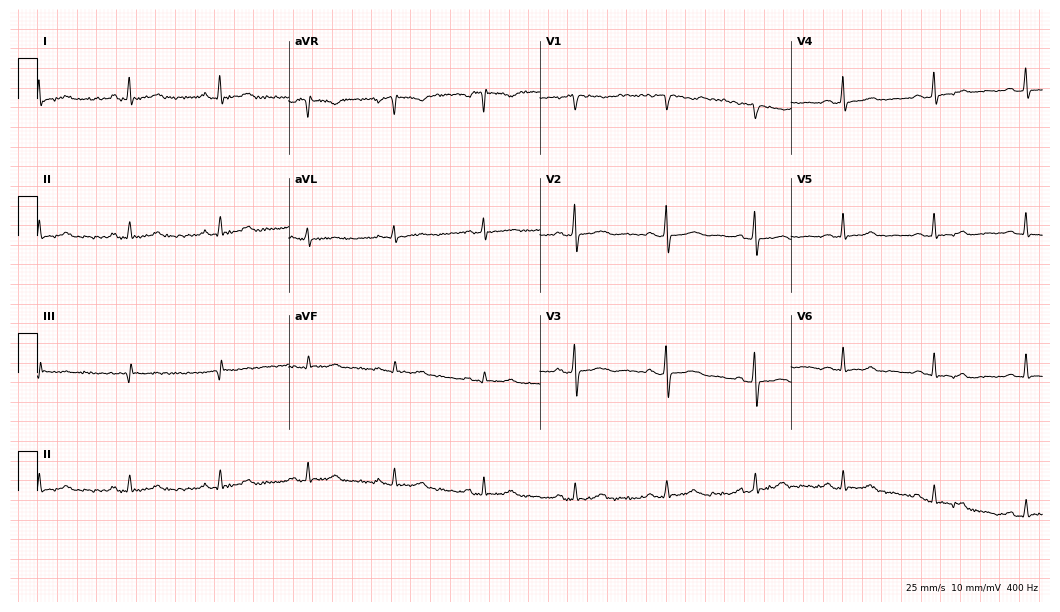
12-lead ECG from a 47-year-old female (10.2-second recording at 400 Hz). Recorded interpretation: within normal limits.